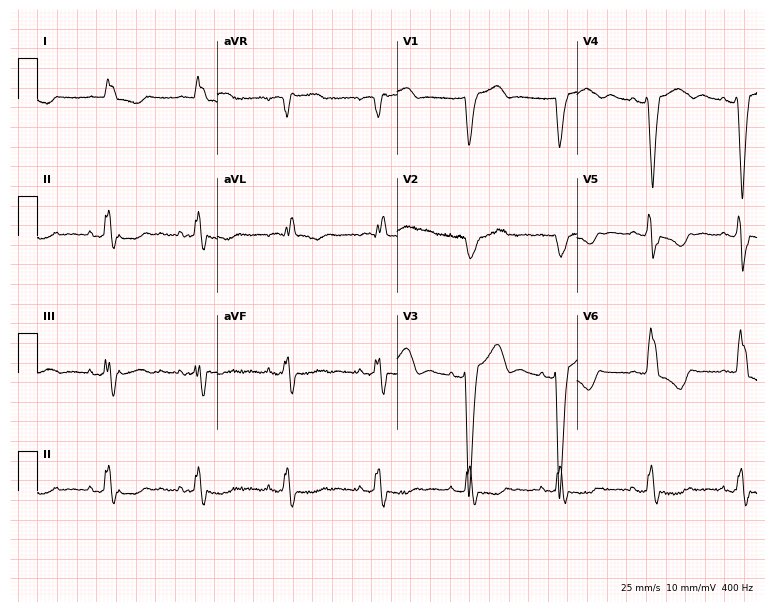
Electrocardiogram (7.3-second recording at 400 Hz), a woman, 62 years old. Interpretation includes left bundle branch block.